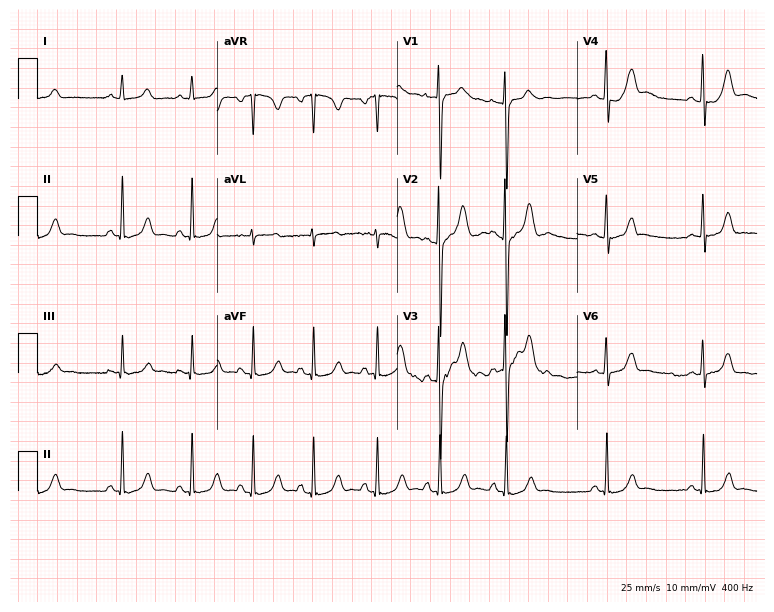
Electrocardiogram (7.3-second recording at 400 Hz), a female, 17 years old. Overall reading on record: normal ECG.